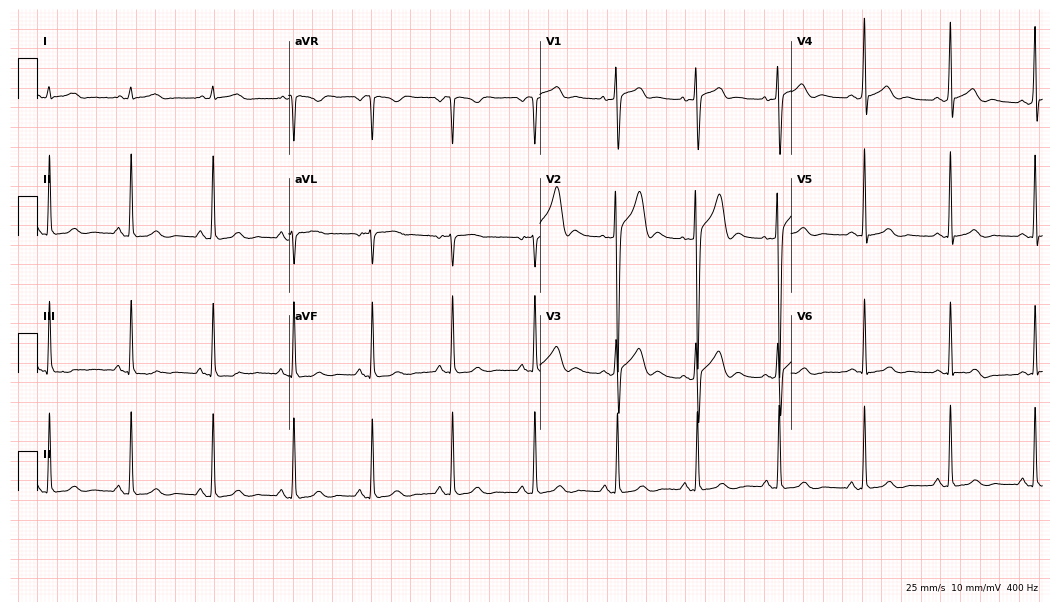
ECG (10.2-second recording at 400 Hz) — a 27-year-old male. Labelled as a normal ECG.